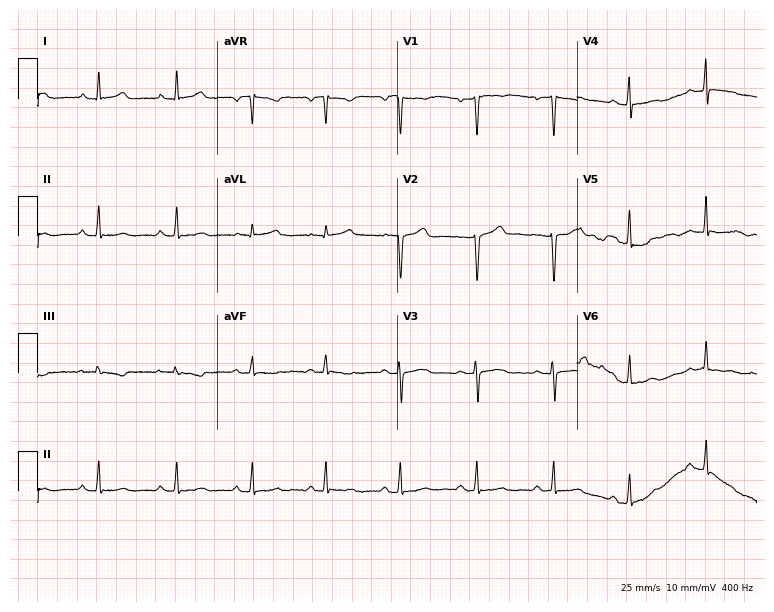
12-lead ECG from a 37-year-old woman. Recorded interpretation: within normal limits.